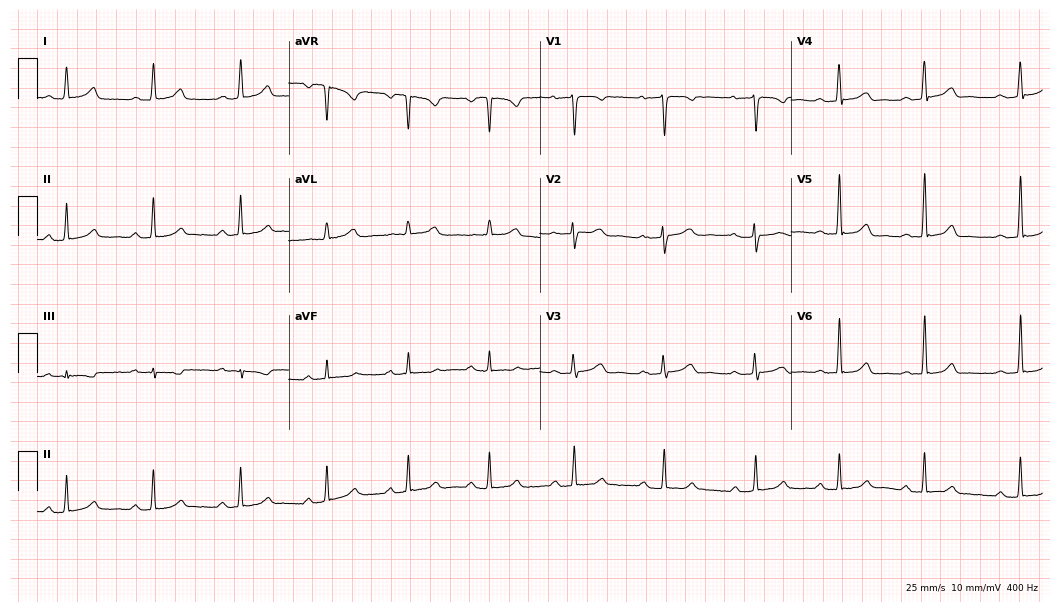
Standard 12-lead ECG recorded from a 33-year-old woman. Read as a normal ECG.